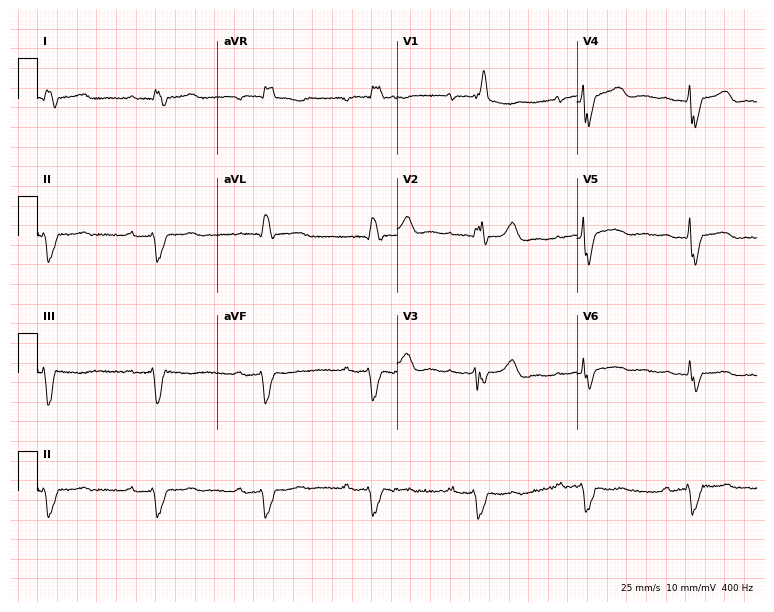
Resting 12-lead electrocardiogram (7.3-second recording at 400 Hz). Patient: a 56-year-old male. The tracing shows first-degree AV block, right bundle branch block.